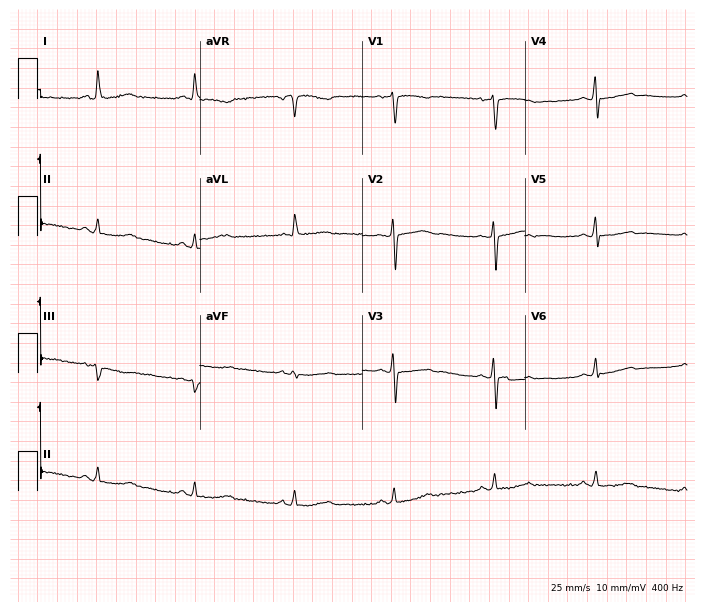
Resting 12-lead electrocardiogram. Patient: a 58-year-old female. None of these six findings is recorded: first-degree AV block, right bundle branch block, left bundle branch block, sinus bradycardia, atrial fibrillation, sinus tachycardia.